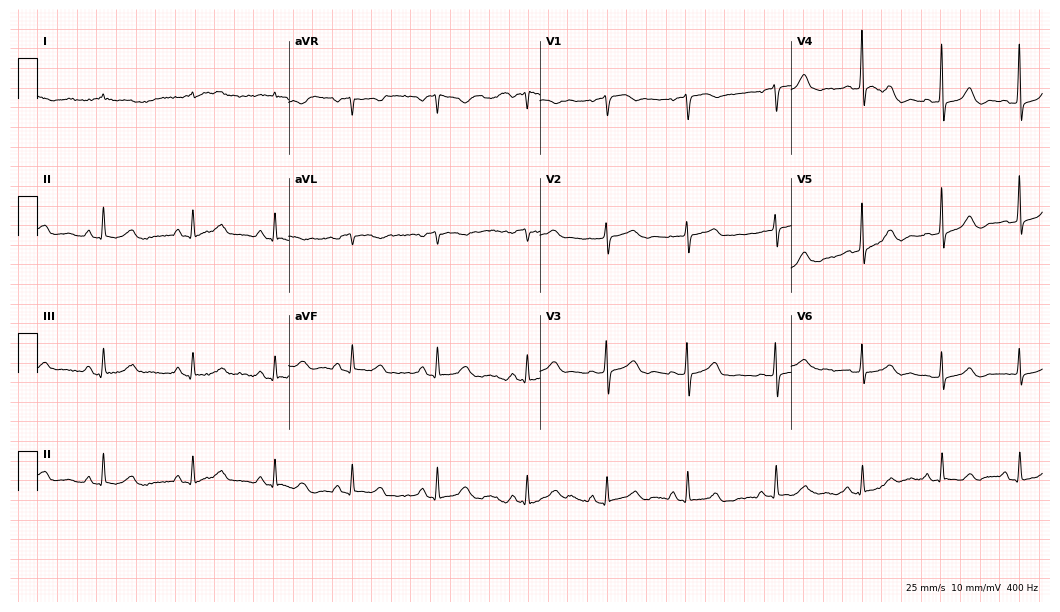
12-lead ECG from a female, 59 years old. Labelled as a normal ECG.